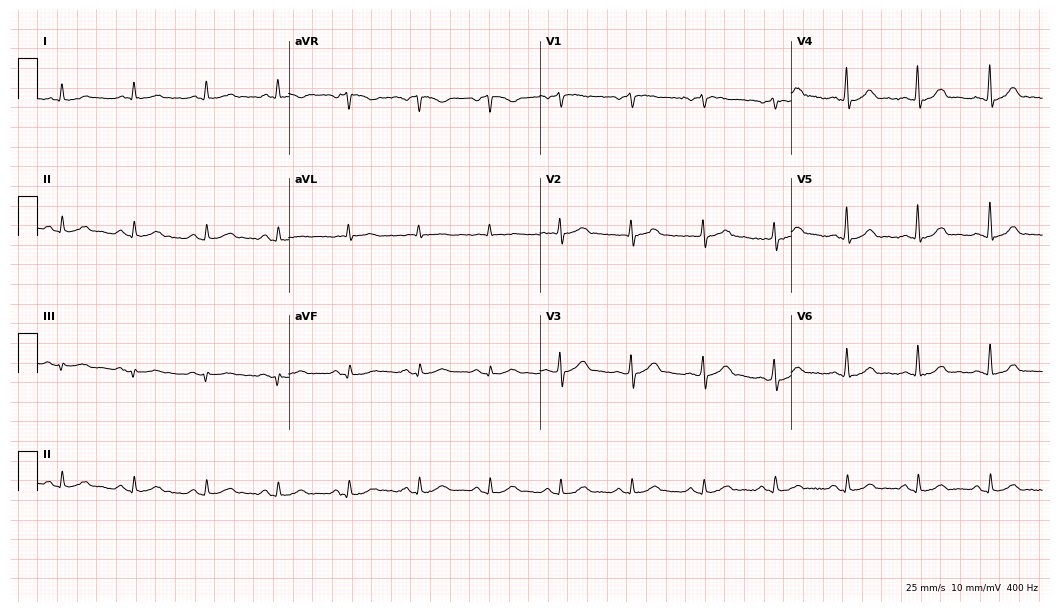
Resting 12-lead electrocardiogram (10.2-second recording at 400 Hz). Patient: a 62-year-old male. Read as a normal ECG.